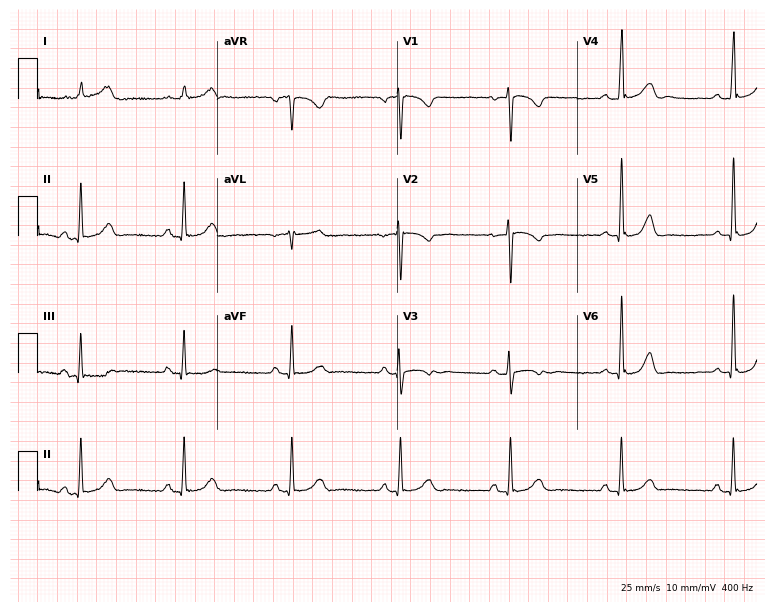
Standard 12-lead ECG recorded from a 38-year-old female patient. Read as a normal ECG.